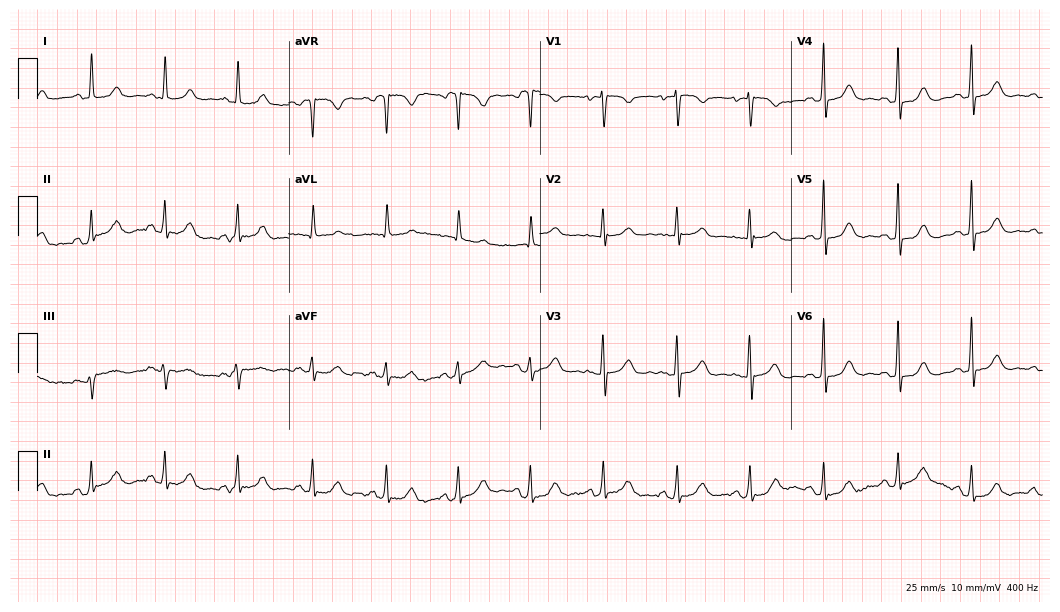
12-lead ECG from a 71-year-old female patient. No first-degree AV block, right bundle branch block, left bundle branch block, sinus bradycardia, atrial fibrillation or sinus tachycardia recorded for this tracing.